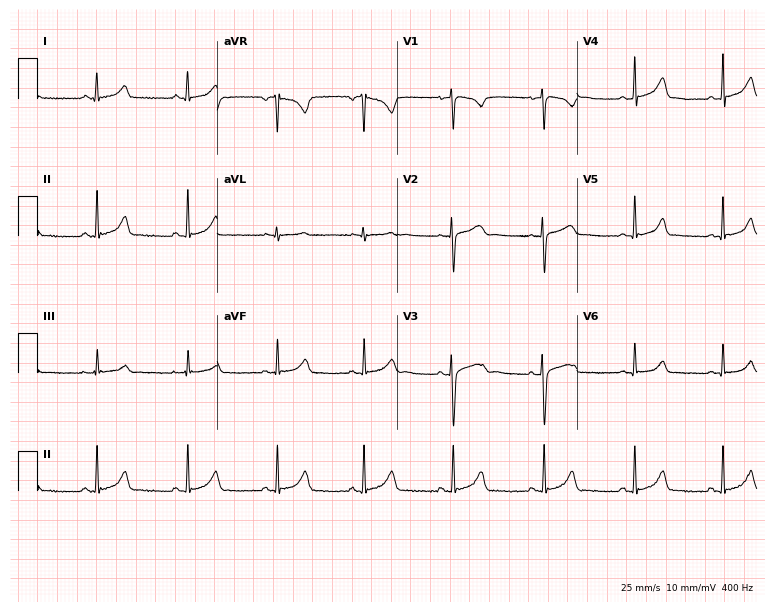
12-lead ECG from a female, 21 years old. Labelled as a normal ECG.